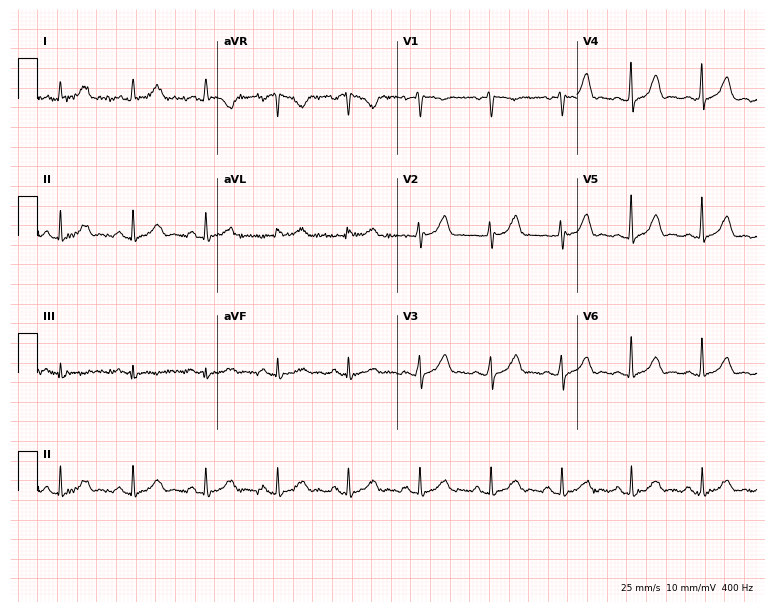
ECG — a woman, 36 years old. Labelled as a normal ECG.